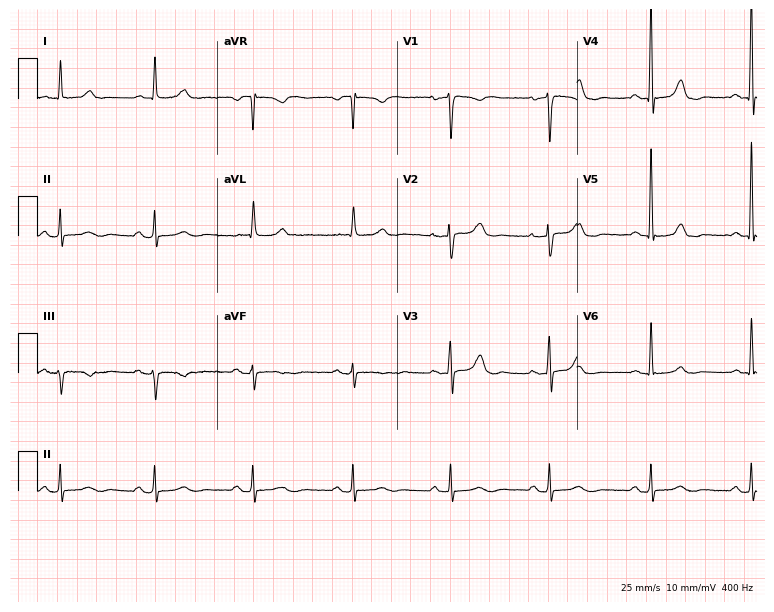
ECG (7.3-second recording at 400 Hz) — a woman, 68 years old. Screened for six findings — first-degree AV block, right bundle branch block, left bundle branch block, sinus bradycardia, atrial fibrillation, sinus tachycardia — none is recorded.